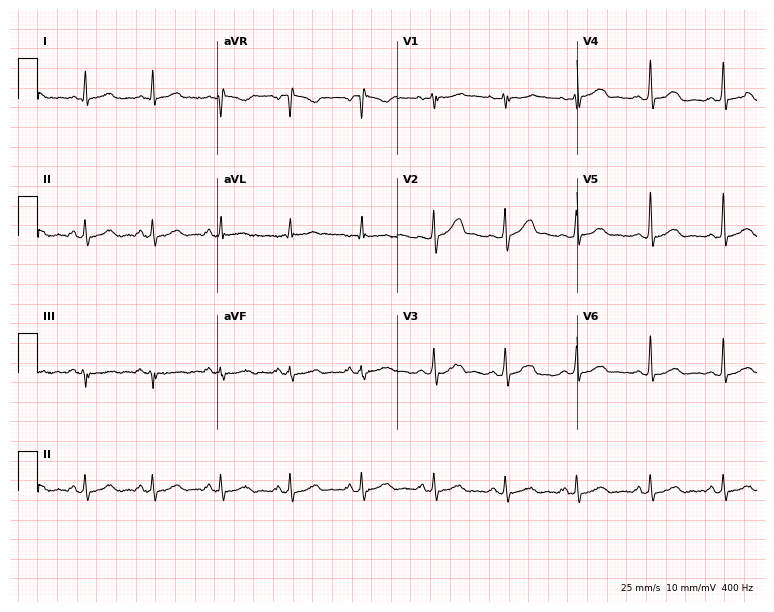
Electrocardiogram, a male, 44 years old. Of the six screened findings (first-degree AV block, right bundle branch block, left bundle branch block, sinus bradycardia, atrial fibrillation, sinus tachycardia), none is recorded.